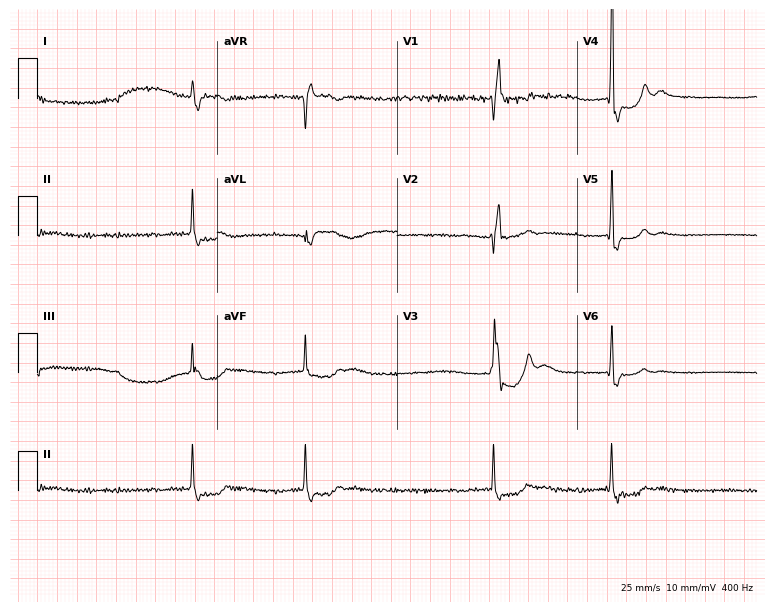
12-lead ECG from a male, 76 years old. Shows atrial fibrillation.